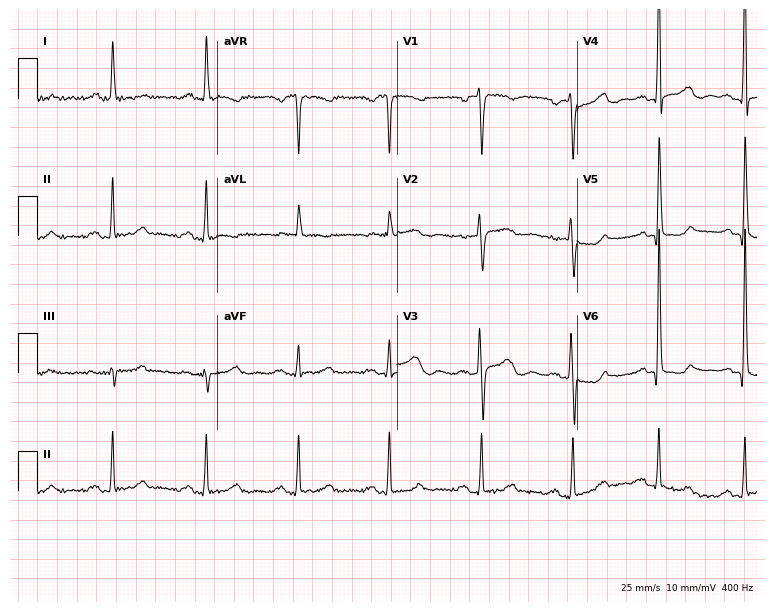
12-lead ECG from a 51-year-old woman. No first-degree AV block, right bundle branch block, left bundle branch block, sinus bradycardia, atrial fibrillation or sinus tachycardia recorded for this tracing. Other findings, if any, are not listed.